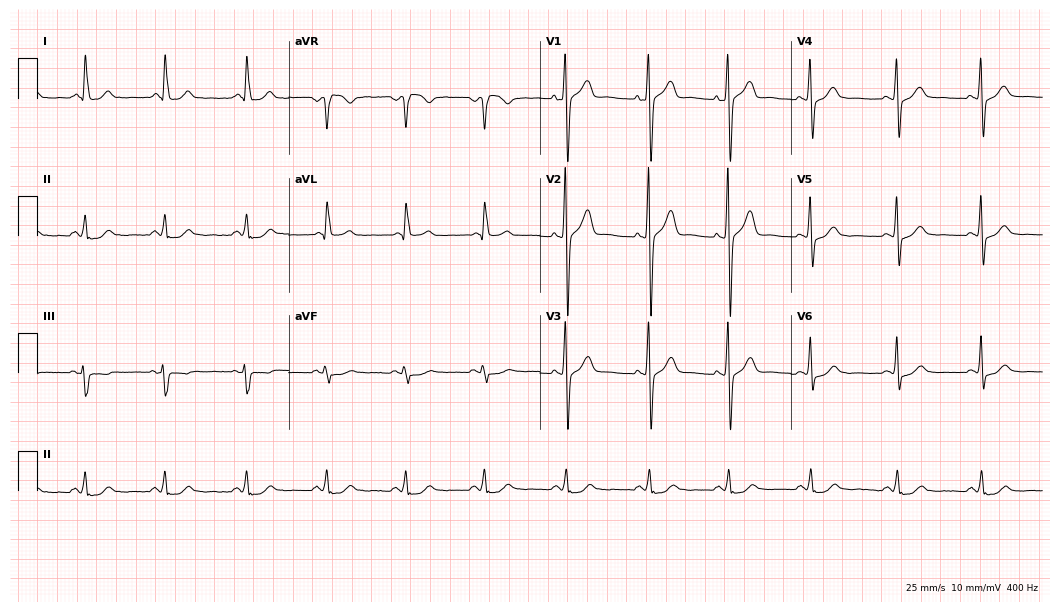
12-lead ECG from a 54-year-old male patient. No first-degree AV block, right bundle branch block, left bundle branch block, sinus bradycardia, atrial fibrillation or sinus tachycardia recorded for this tracing. Findings outside these six are not listed.